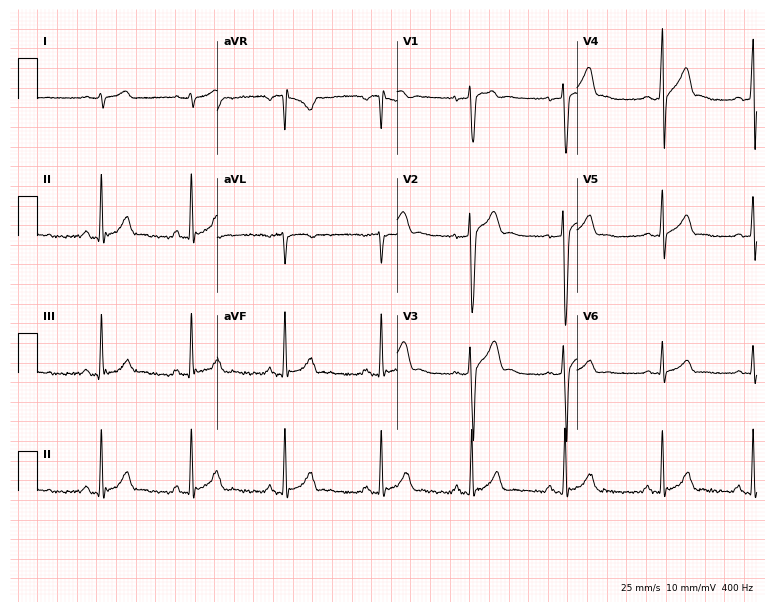
Electrocardiogram, a male patient, 30 years old. Overall reading on record: normal ECG.